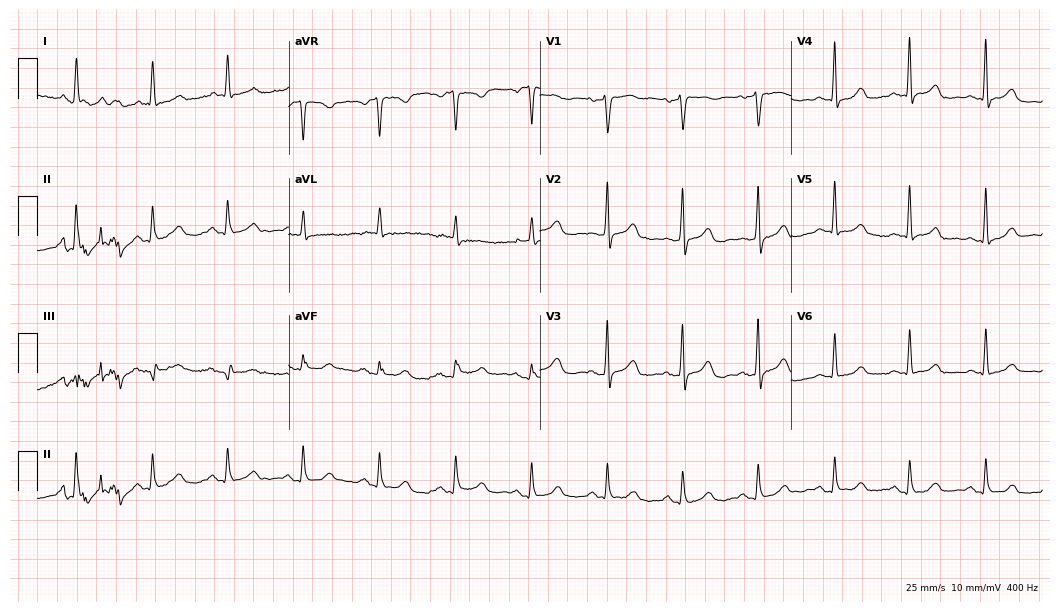
Resting 12-lead electrocardiogram. Patient: a 68-year-old woman. Read as a normal ECG.